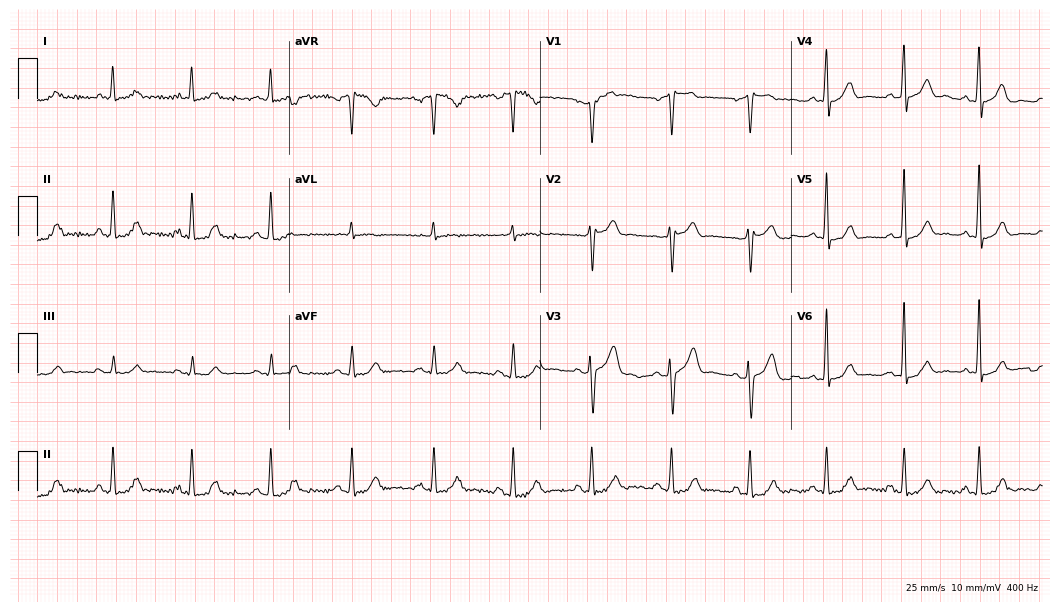
12-lead ECG from a male patient, 64 years old. Labelled as a normal ECG.